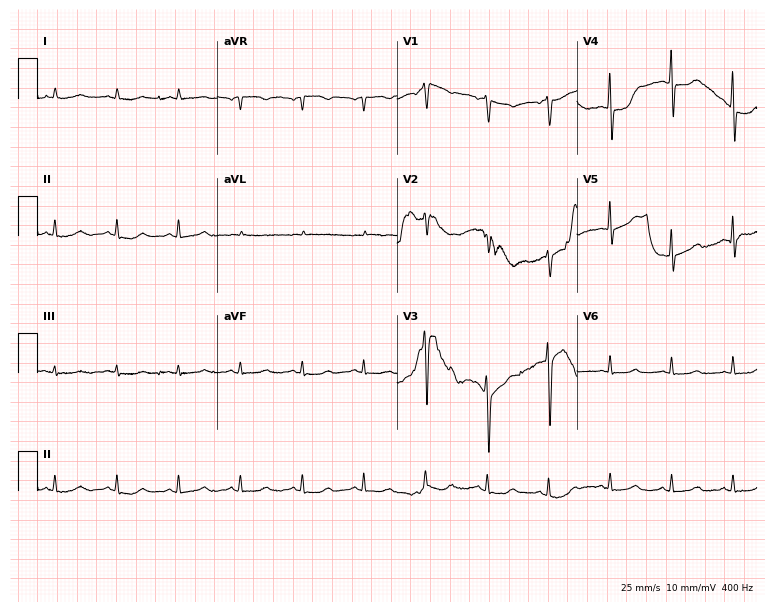
12-lead ECG from a 70-year-old male patient. Screened for six findings — first-degree AV block, right bundle branch block (RBBB), left bundle branch block (LBBB), sinus bradycardia, atrial fibrillation (AF), sinus tachycardia — none is recorded. Only these six findings were labelled.